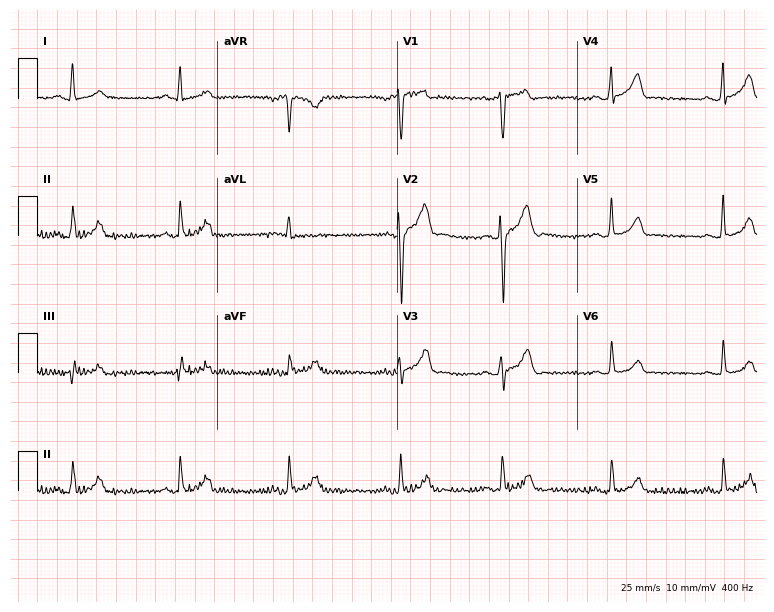
Resting 12-lead electrocardiogram (7.3-second recording at 400 Hz). Patient: a 25-year-old male. None of these six findings is recorded: first-degree AV block, right bundle branch block (RBBB), left bundle branch block (LBBB), sinus bradycardia, atrial fibrillation (AF), sinus tachycardia.